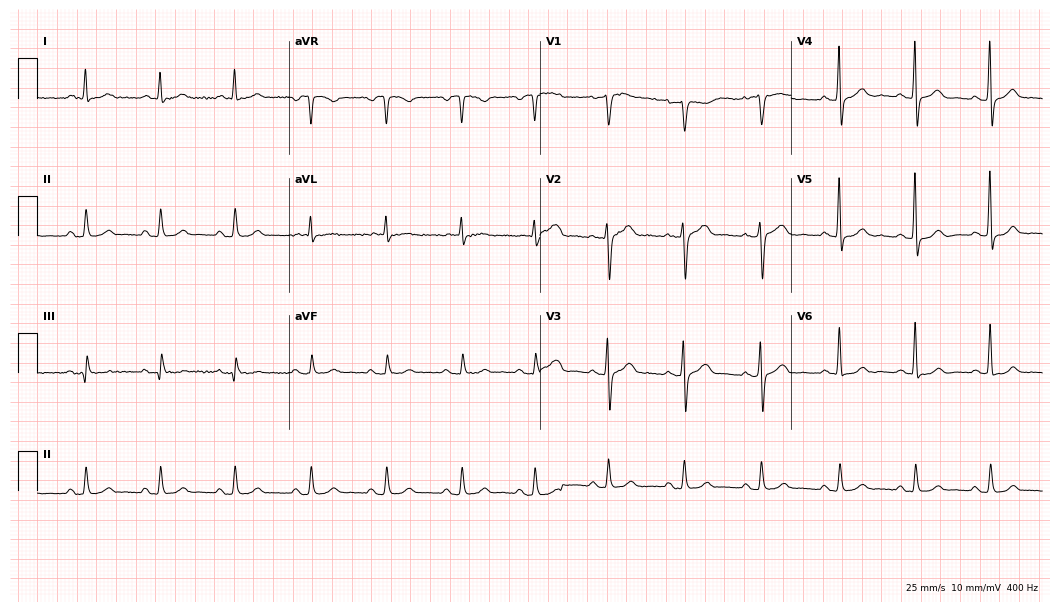
12-lead ECG (10.2-second recording at 400 Hz) from a 67-year-old man. Labelled as a normal ECG.